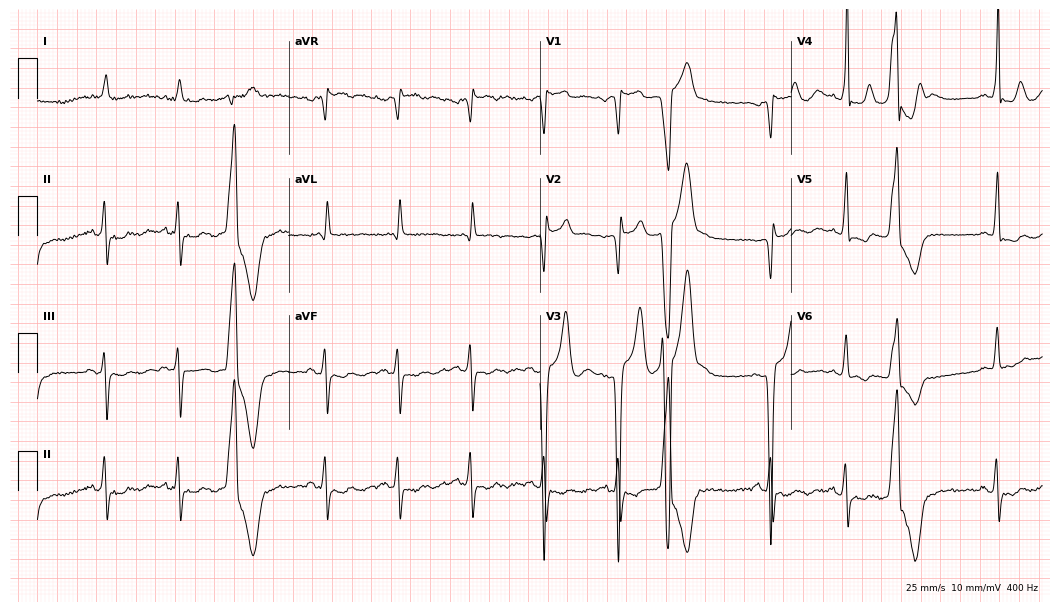
ECG — a man, 82 years old. Screened for six findings — first-degree AV block, right bundle branch block, left bundle branch block, sinus bradycardia, atrial fibrillation, sinus tachycardia — none is recorded. Findings outside these six are not listed.